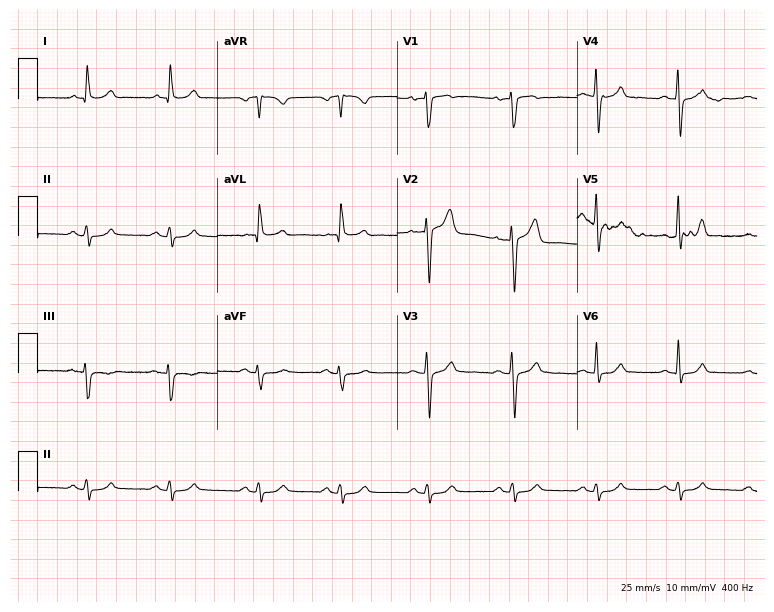
12-lead ECG from a 55-year-old male patient. Labelled as a normal ECG.